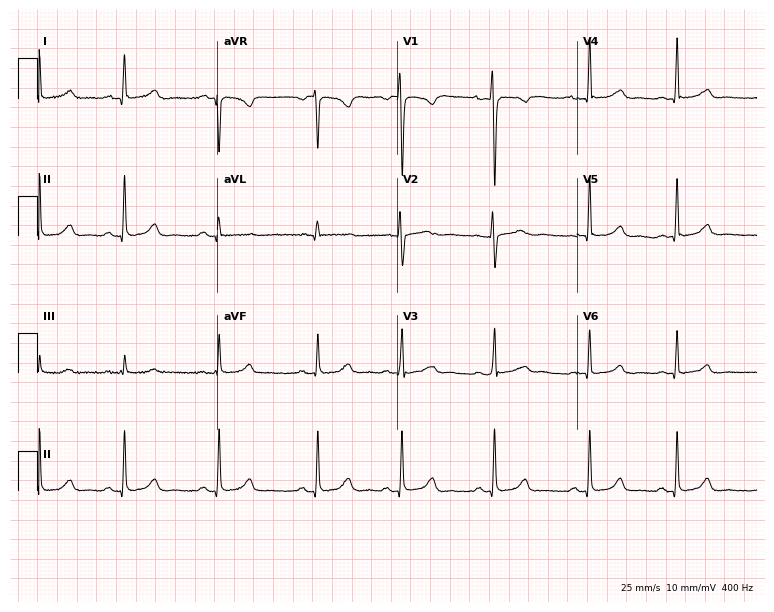
Standard 12-lead ECG recorded from a woman, 32 years old. Read as a normal ECG.